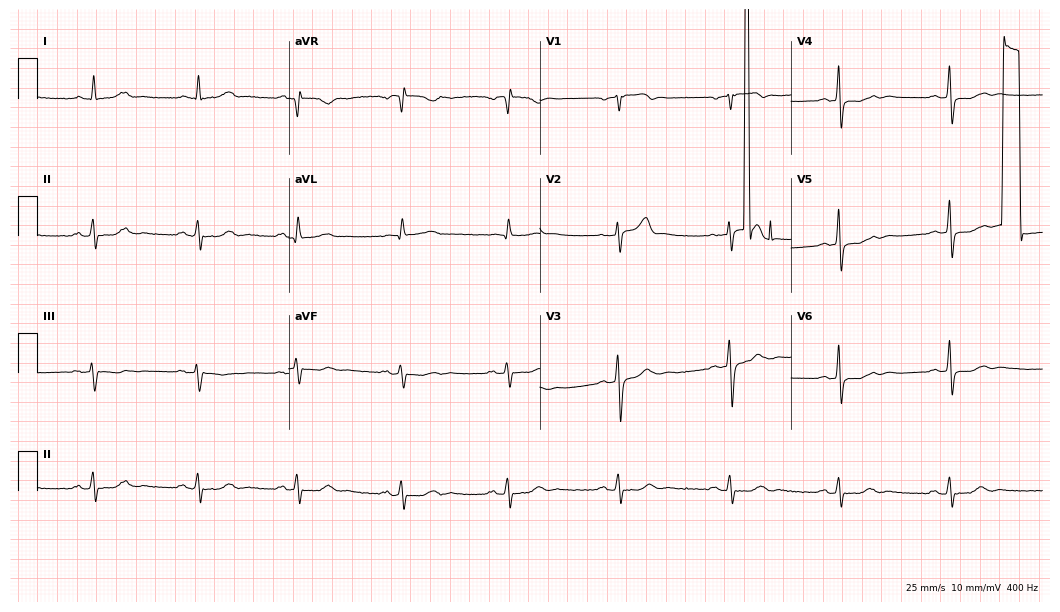
12-lead ECG from a 64-year-old male patient. Screened for six findings — first-degree AV block, right bundle branch block, left bundle branch block, sinus bradycardia, atrial fibrillation, sinus tachycardia — none is recorded.